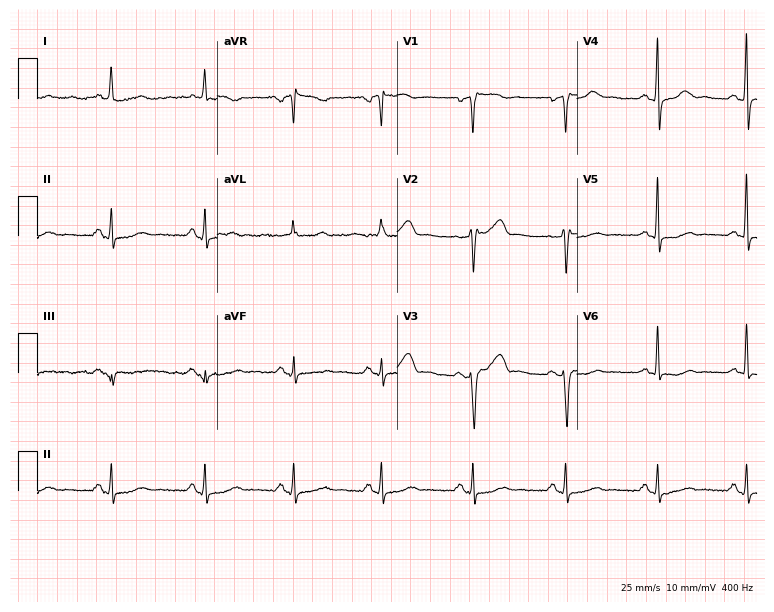
12-lead ECG (7.3-second recording at 400 Hz) from a 54-year-old female. Screened for six findings — first-degree AV block, right bundle branch block, left bundle branch block, sinus bradycardia, atrial fibrillation, sinus tachycardia — none is recorded.